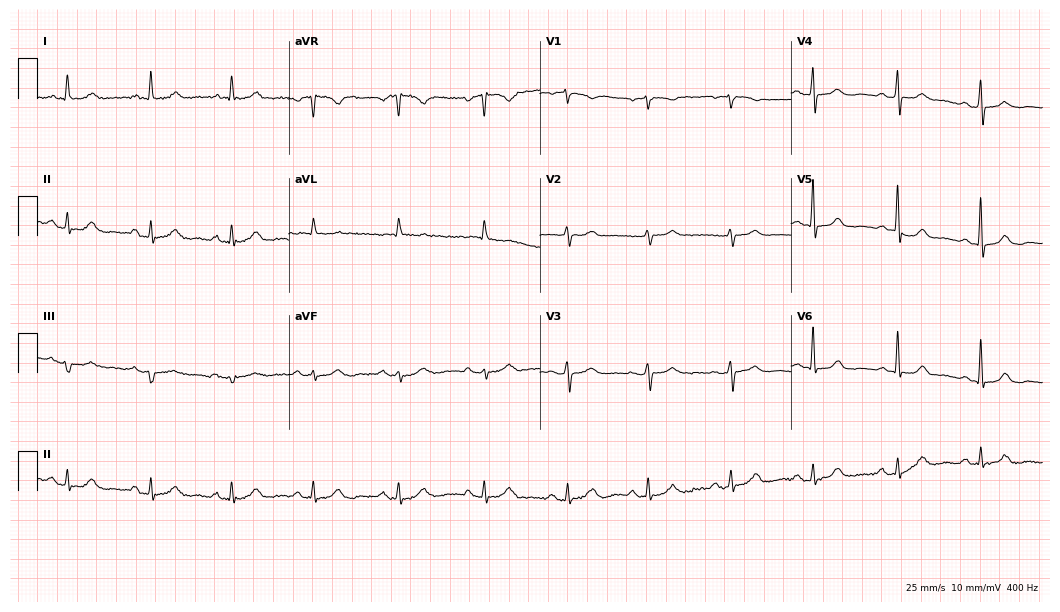
ECG — a woman, 71 years old. Labelled as a normal ECG.